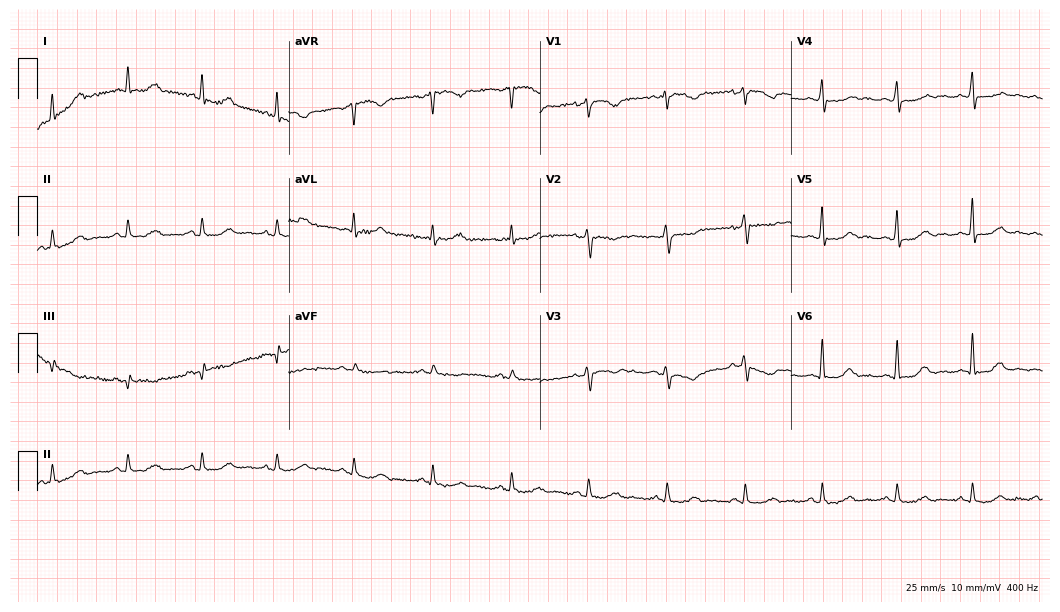
Standard 12-lead ECG recorded from a 60-year-old female patient. None of these six findings is recorded: first-degree AV block, right bundle branch block (RBBB), left bundle branch block (LBBB), sinus bradycardia, atrial fibrillation (AF), sinus tachycardia.